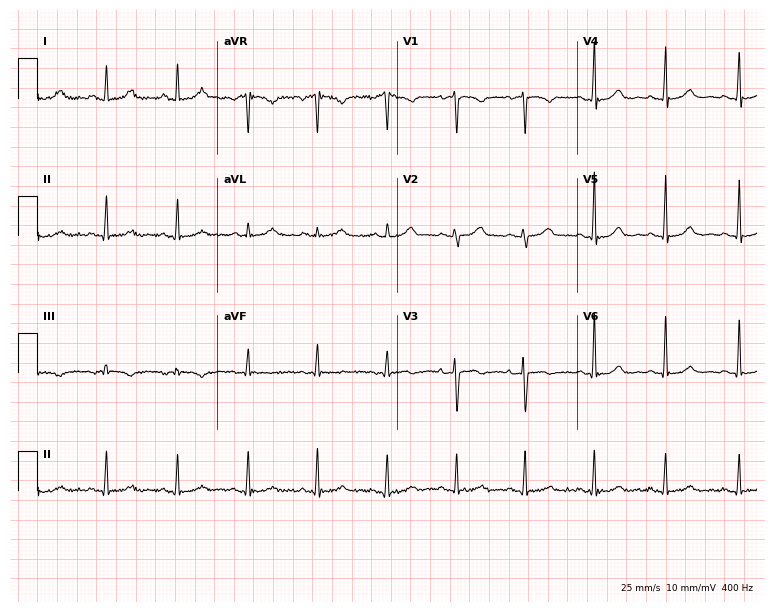
Resting 12-lead electrocardiogram (7.3-second recording at 400 Hz). Patient: a female, 46 years old. Read as a normal ECG.